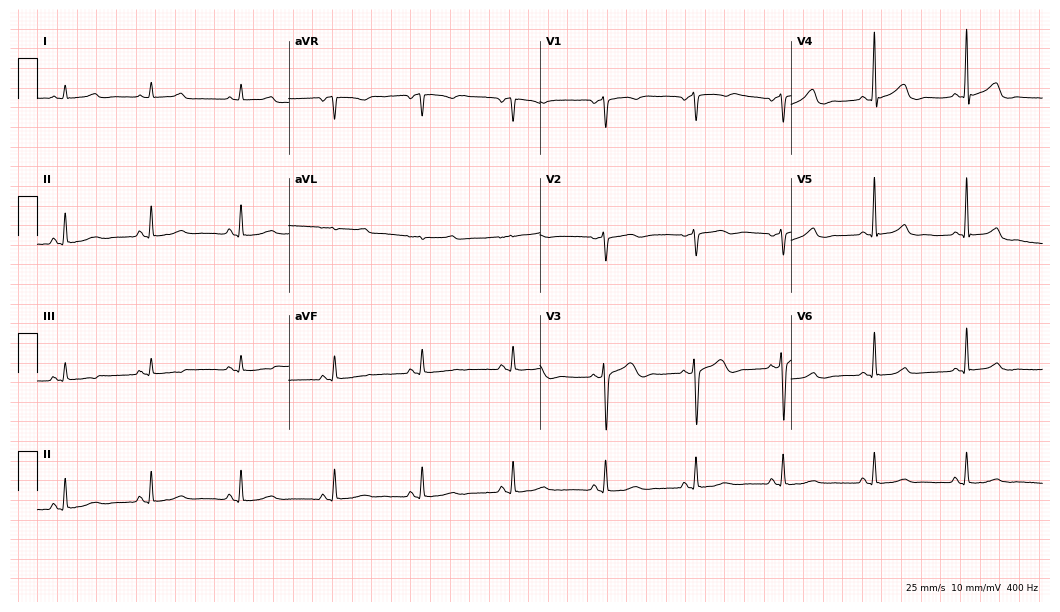
12-lead ECG from a female, 49 years old. Recorded interpretation: within normal limits.